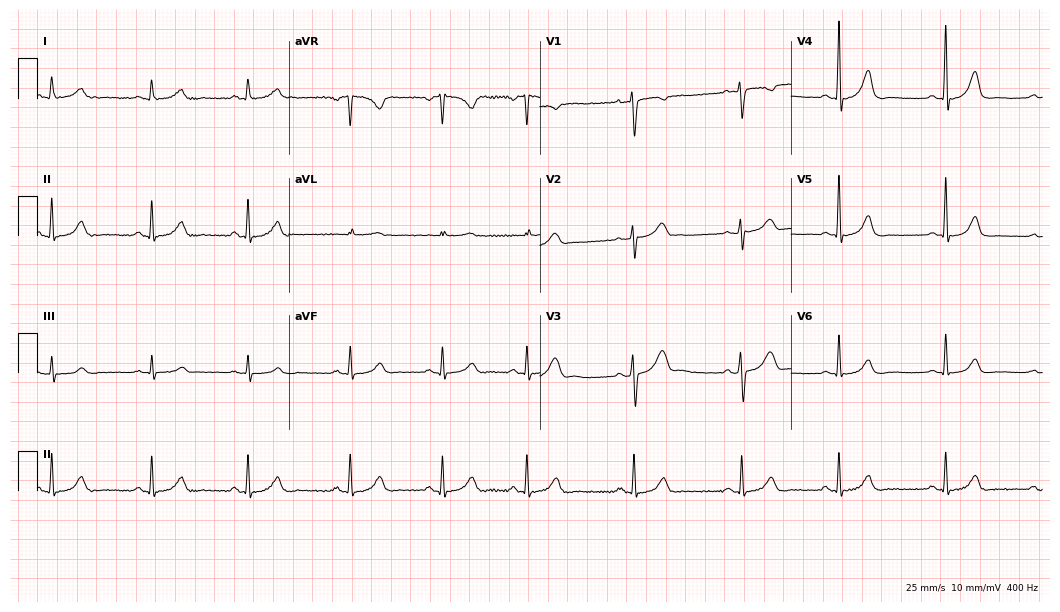
ECG — a 25-year-old female patient. Labelled as a normal ECG.